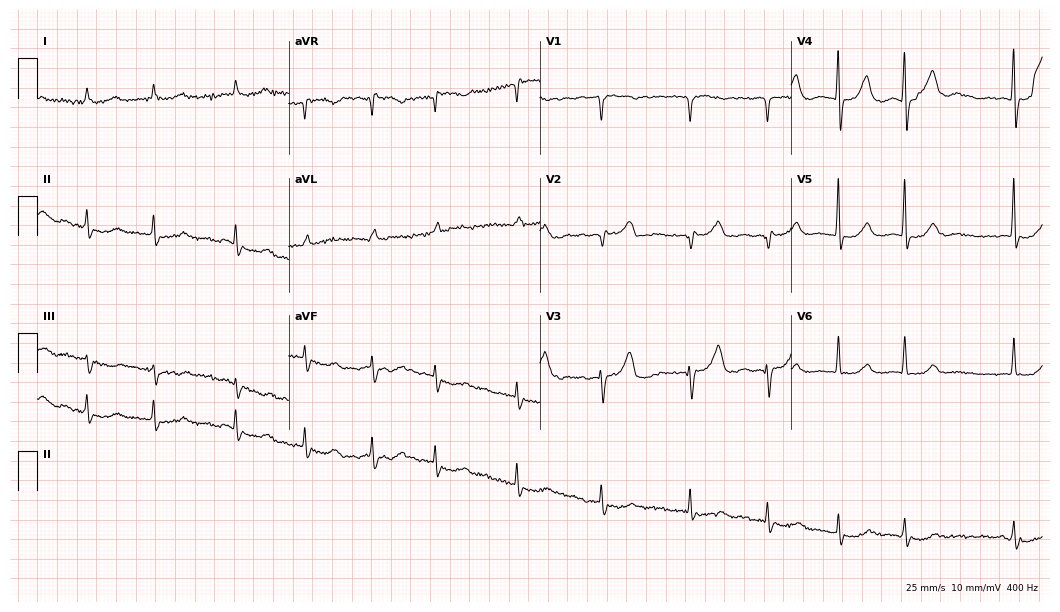
Standard 12-lead ECG recorded from an 84-year-old man (10.2-second recording at 400 Hz). The tracing shows atrial fibrillation (AF).